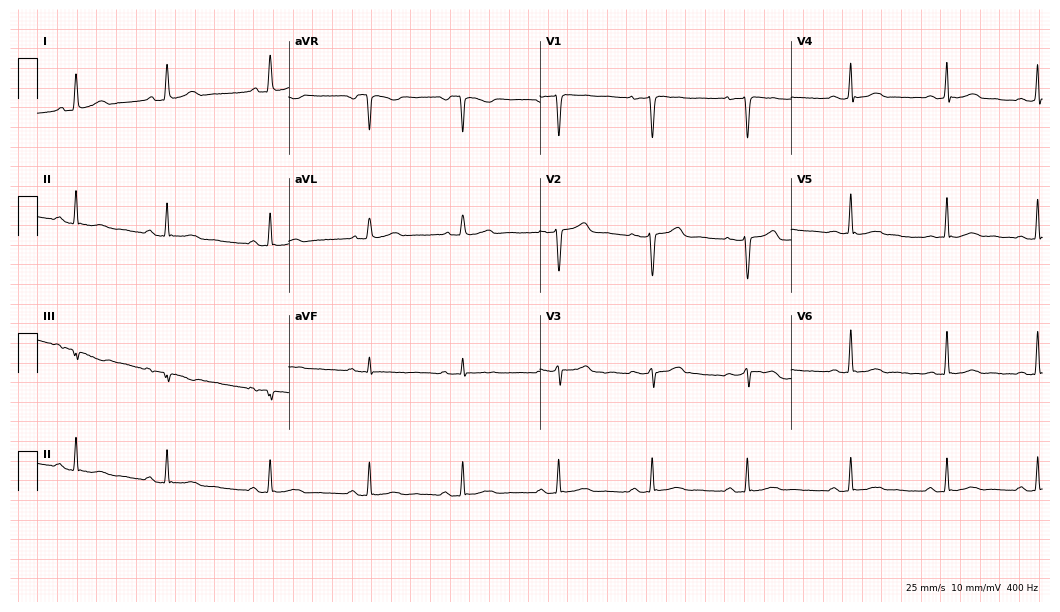
Standard 12-lead ECG recorded from a 41-year-old woman. Read as a normal ECG.